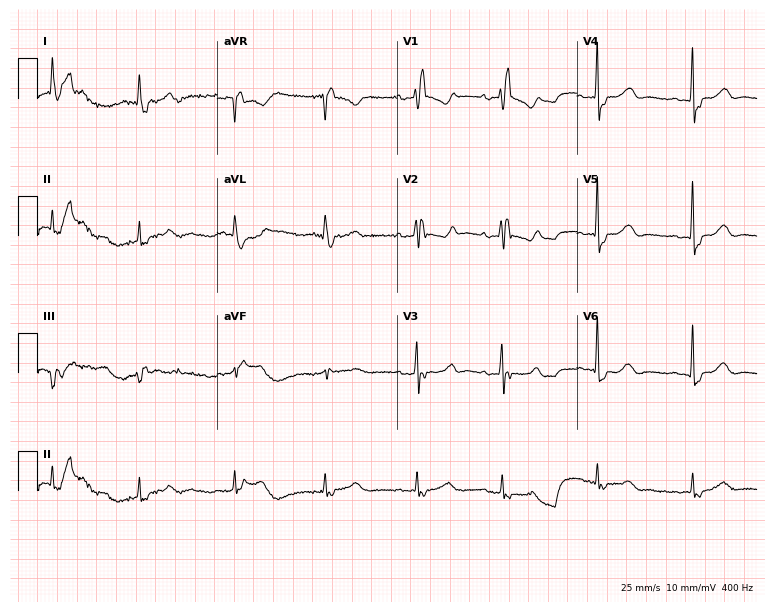
Electrocardiogram, a 69-year-old female patient. Interpretation includes right bundle branch block.